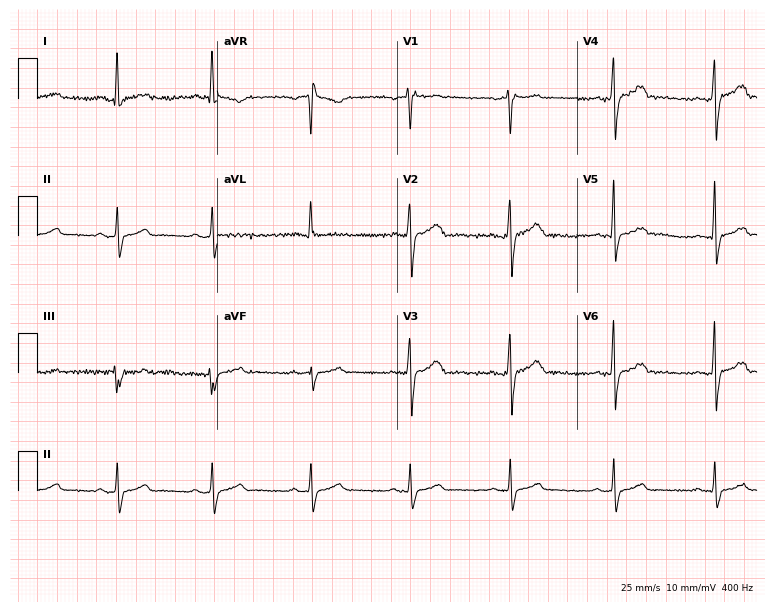
Electrocardiogram, a 45-year-old male. Of the six screened findings (first-degree AV block, right bundle branch block, left bundle branch block, sinus bradycardia, atrial fibrillation, sinus tachycardia), none is recorded.